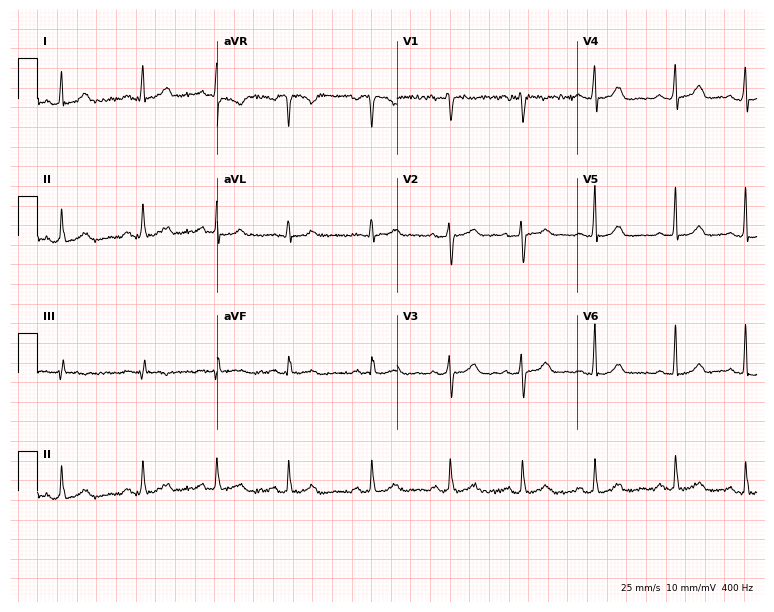
Electrocardiogram (7.3-second recording at 400 Hz), a female, 28 years old. Overall reading on record: normal ECG.